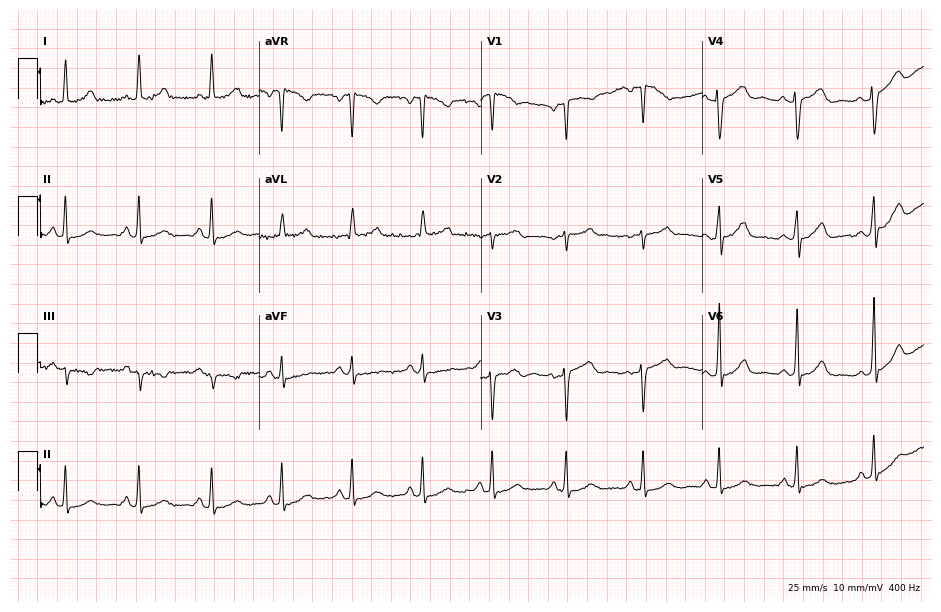
Resting 12-lead electrocardiogram. Patient: a 46-year-old female. Read as a normal ECG.